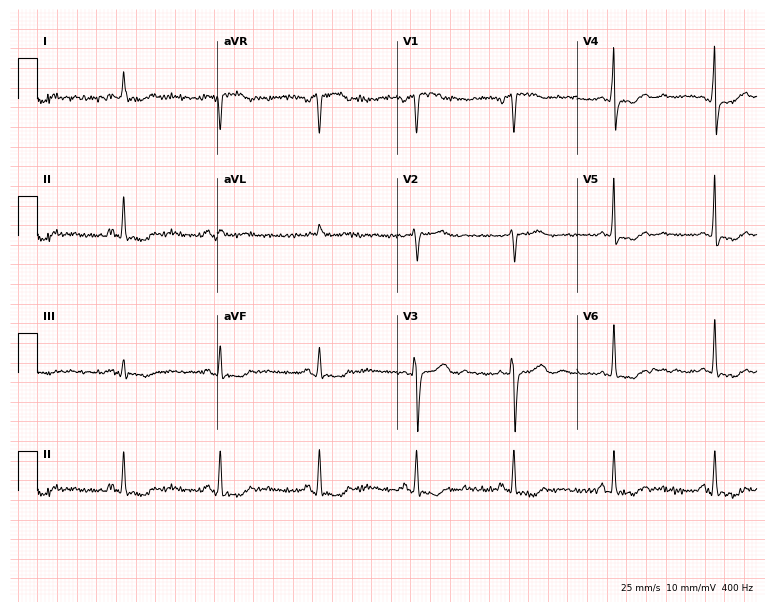
Standard 12-lead ECG recorded from a 64-year-old female patient (7.3-second recording at 400 Hz). None of these six findings is recorded: first-degree AV block, right bundle branch block, left bundle branch block, sinus bradycardia, atrial fibrillation, sinus tachycardia. Other findings, if any, are not listed.